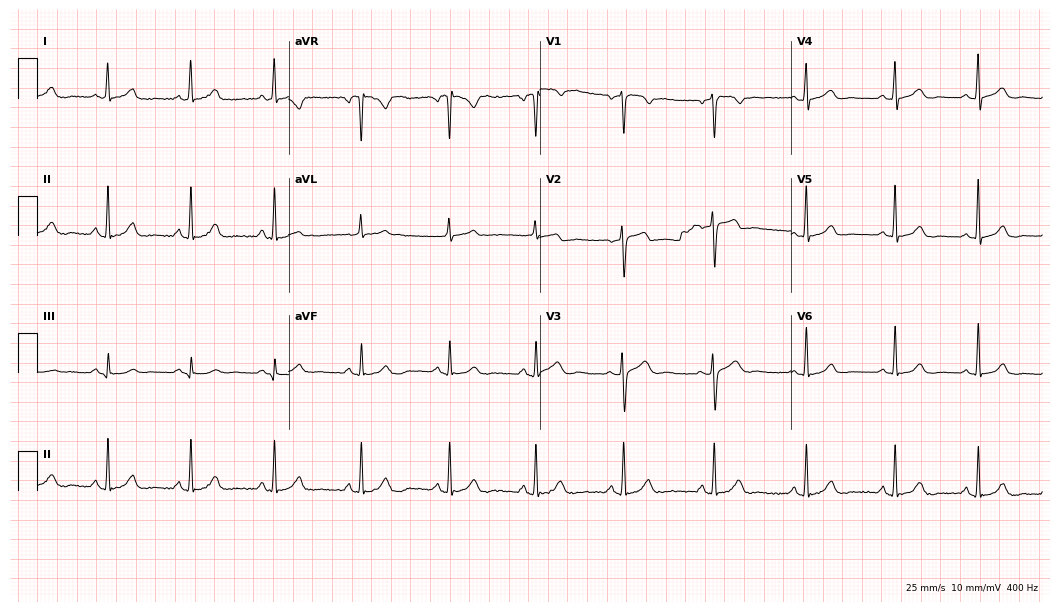
Standard 12-lead ECG recorded from a female patient, 48 years old (10.2-second recording at 400 Hz). Read as a normal ECG.